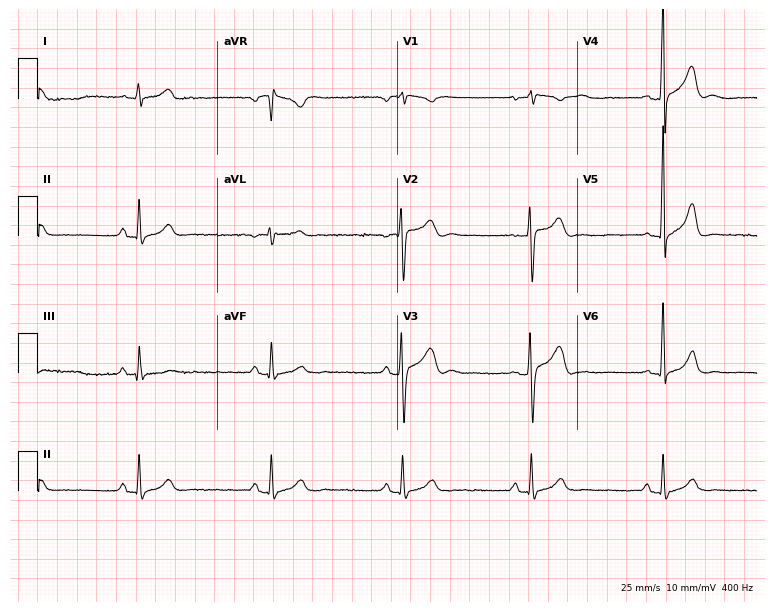
Electrocardiogram (7.3-second recording at 400 Hz), a male patient, 34 years old. Of the six screened findings (first-degree AV block, right bundle branch block, left bundle branch block, sinus bradycardia, atrial fibrillation, sinus tachycardia), none is recorded.